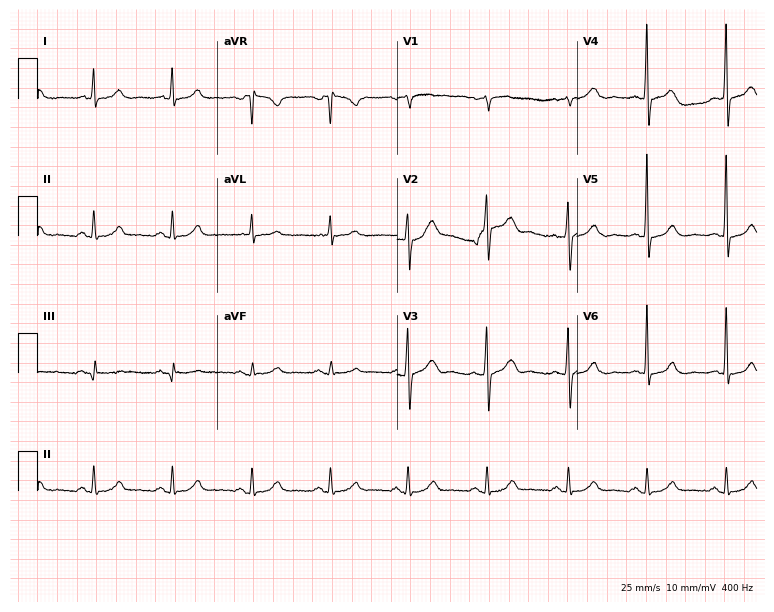
12-lead ECG (7.3-second recording at 400 Hz) from a 53-year-old man. Labelled as a normal ECG.